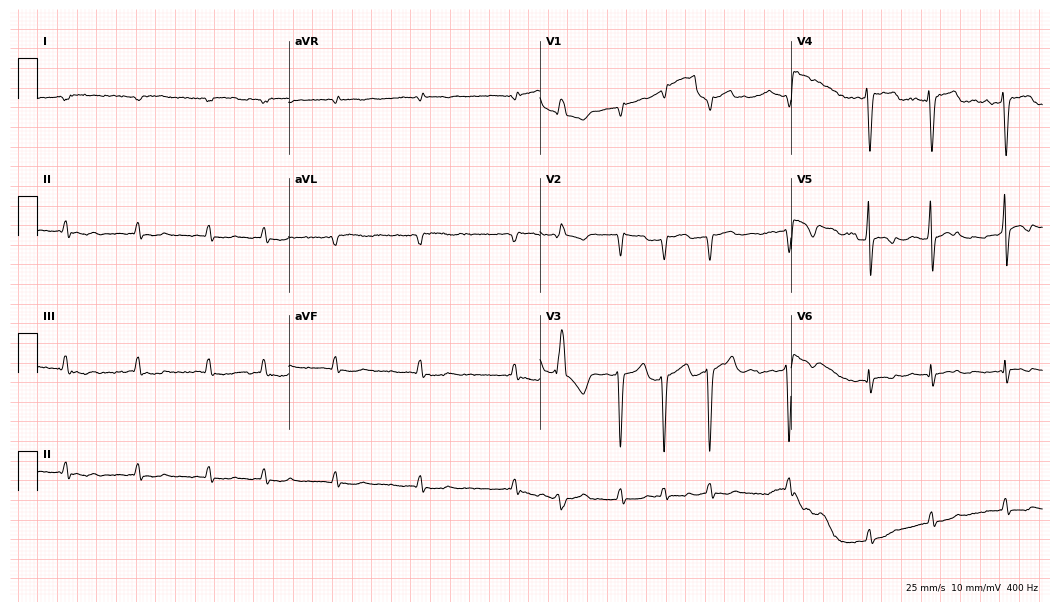
Standard 12-lead ECG recorded from a 75-year-old woman. The tracing shows atrial fibrillation.